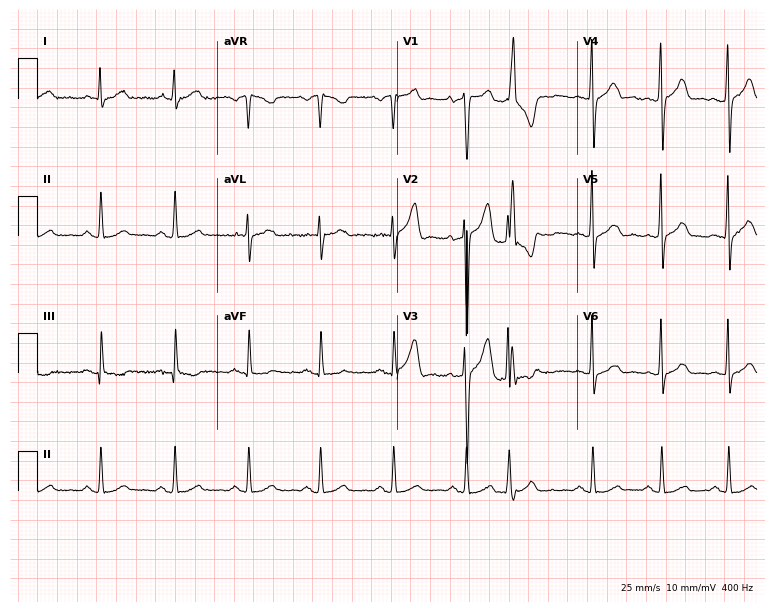
ECG — a male patient, 58 years old. Labelled as a normal ECG.